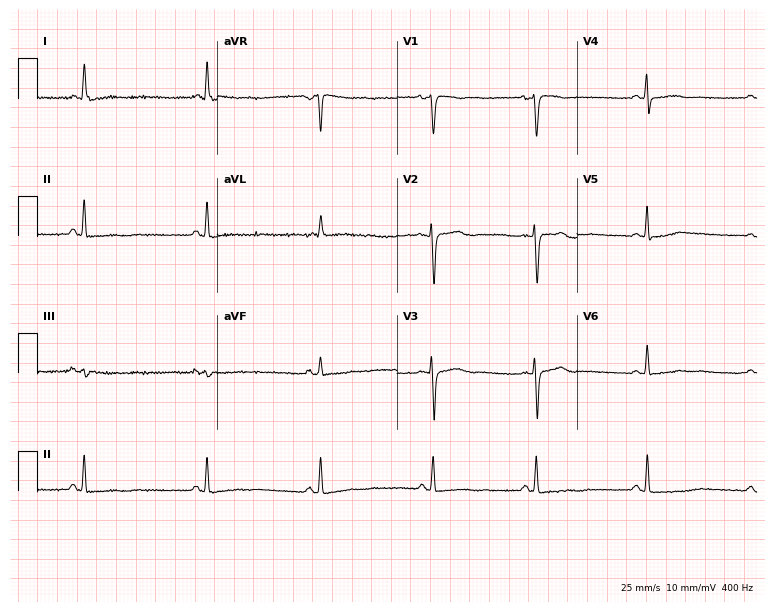
Standard 12-lead ECG recorded from a female, 41 years old (7.3-second recording at 400 Hz). None of these six findings is recorded: first-degree AV block, right bundle branch block, left bundle branch block, sinus bradycardia, atrial fibrillation, sinus tachycardia.